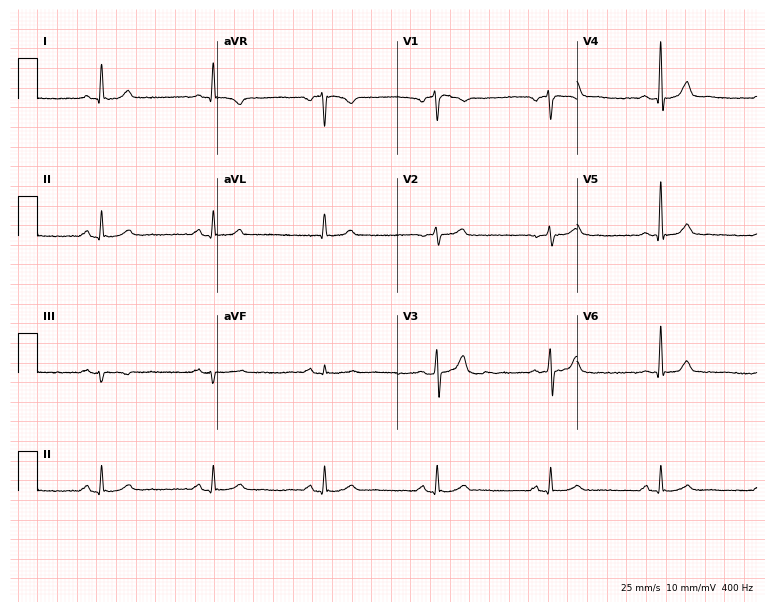
Resting 12-lead electrocardiogram (7.3-second recording at 400 Hz). Patient: a male, 58 years old. None of these six findings is recorded: first-degree AV block, right bundle branch block, left bundle branch block, sinus bradycardia, atrial fibrillation, sinus tachycardia.